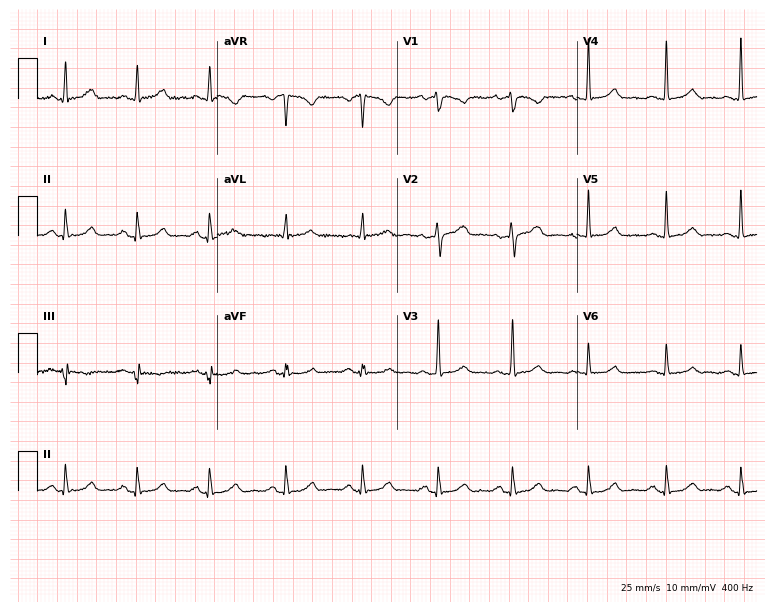
Electrocardiogram, a female patient, 50 years old. Of the six screened findings (first-degree AV block, right bundle branch block, left bundle branch block, sinus bradycardia, atrial fibrillation, sinus tachycardia), none is recorded.